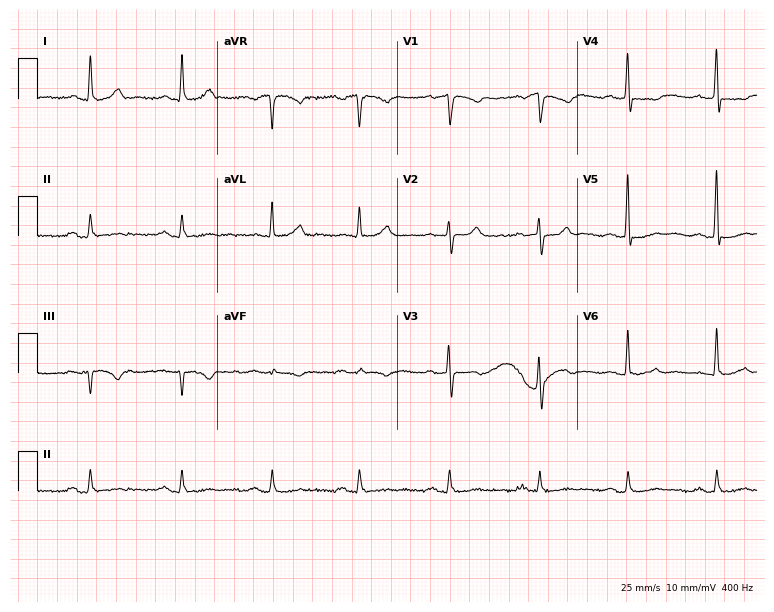
12-lead ECG from a 71-year-old male. Recorded interpretation: within normal limits.